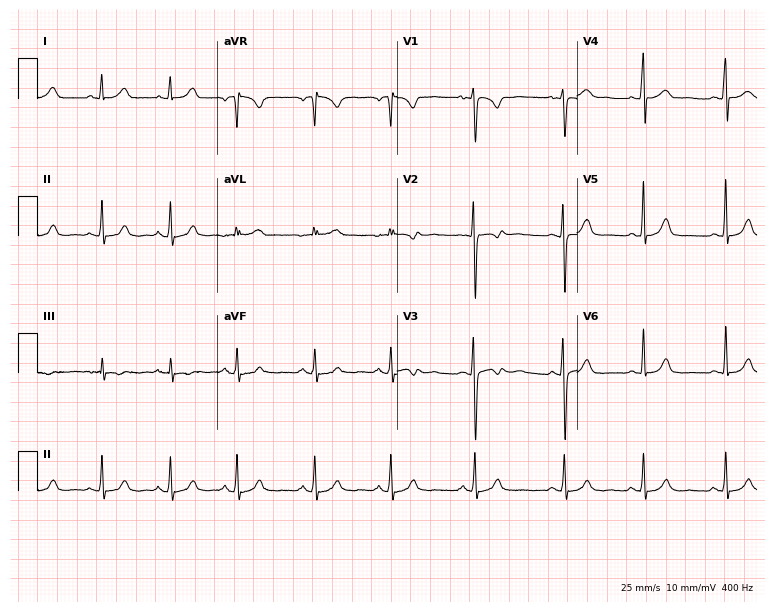
Resting 12-lead electrocardiogram (7.3-second recording at 400 Hz). Patient: a female, 27 years old. None of these six findings is recorded: first-degree AV block, right bundle branch block, left bundle branch block, sinus bradycardia, atrial fibrillation, sinus tachycardia. Only these six findings were labelled.